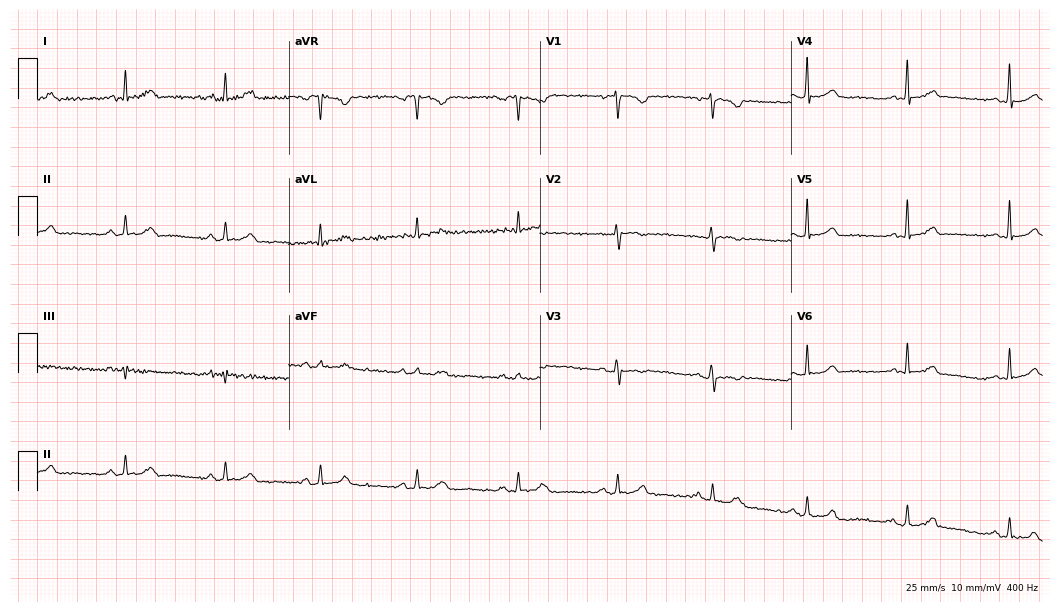
Resting 12-lead electrocardiogram (10.2-second recording at 400 Hz). Patient: a 42-year-old female. None of these six findings is recorded: first-degree AV block, right bundle branch block, left bundle branch block, sinus bradycardia, atrial fibrillation, sinus tachycardia.